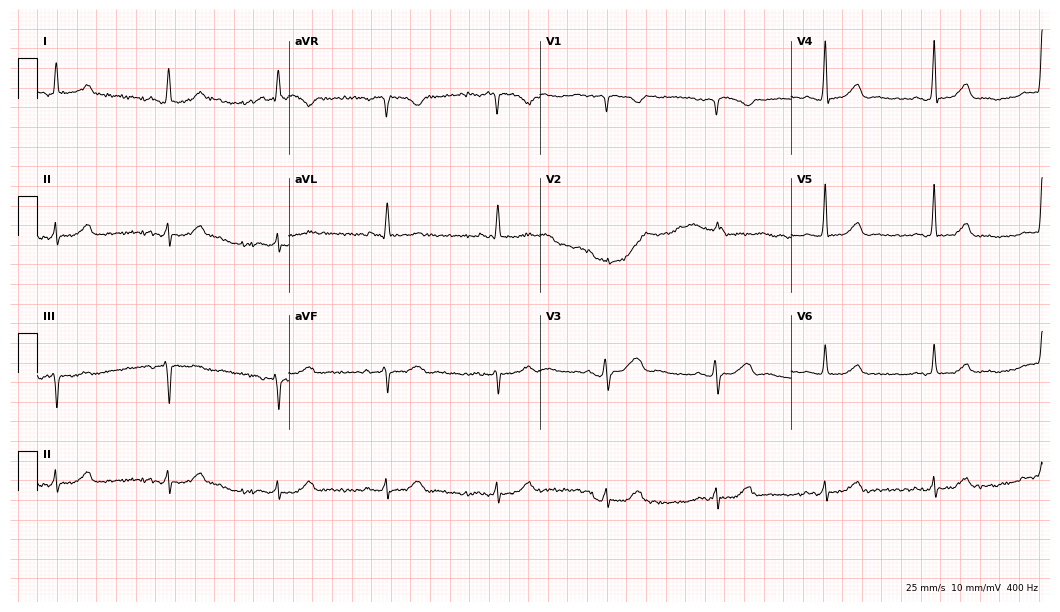
12-lead ECG from a female, 68 years old. No first-degree AV block, right bundle branch block, left bundle branch block, sinus bradycardia, atrial fibrillation or sinus tachycardia recorded for this tracing. Other findings, if any, are not listed.